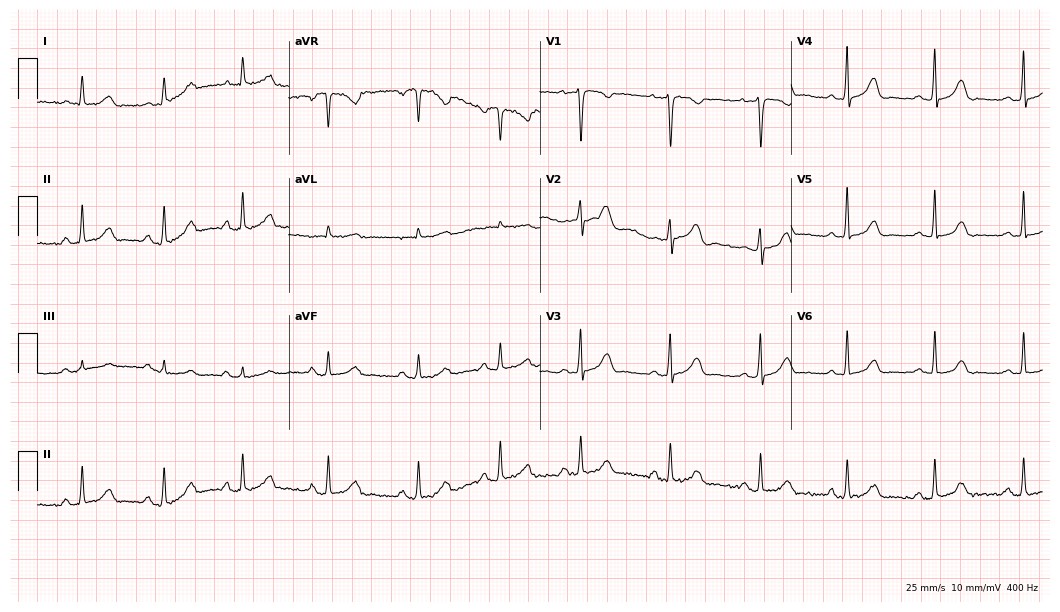
Resting 12-lead electrocardiogram (10.2-second recording at 400 Hz). Patient: a 40-year-old female. Read as a normal ECG.